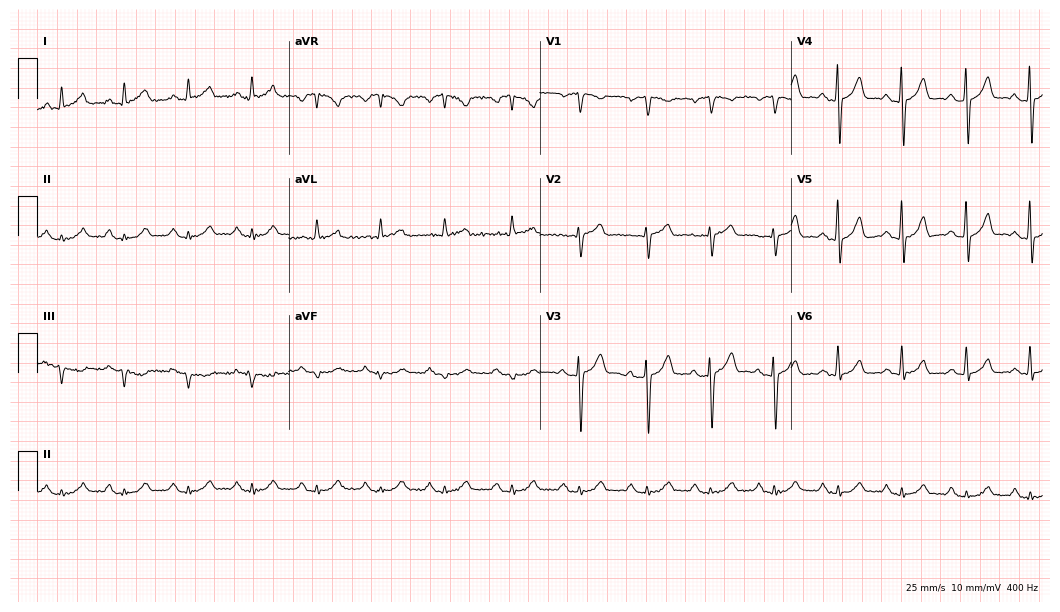
12-lead ECG from a 59-year-old man. Recorded interpretation: within normal limits.